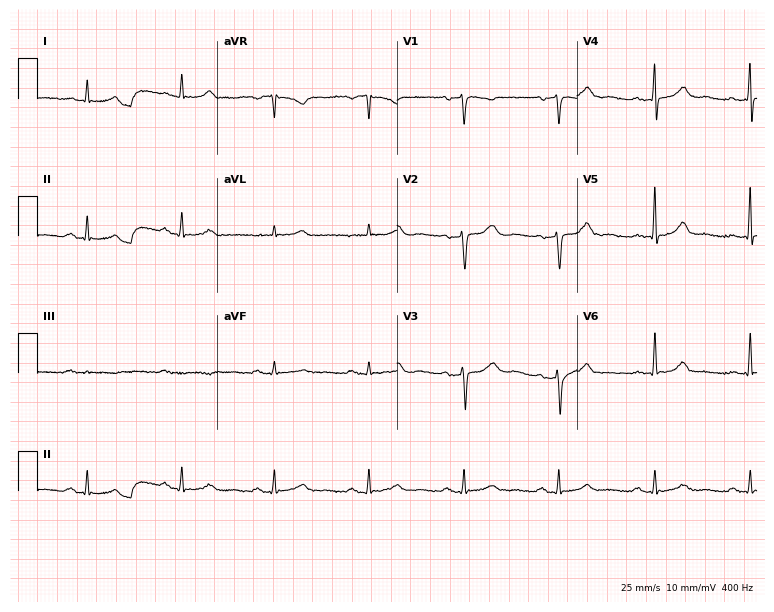
12-lead ECG from a male patient, 60 years old. No first-degree AV block, right bundle branch block, left bundle branch block, sinus bradycardia, atrial fibrillation or sinus tachycardia recorded for this tracing. Other findings, if any, are not listed.